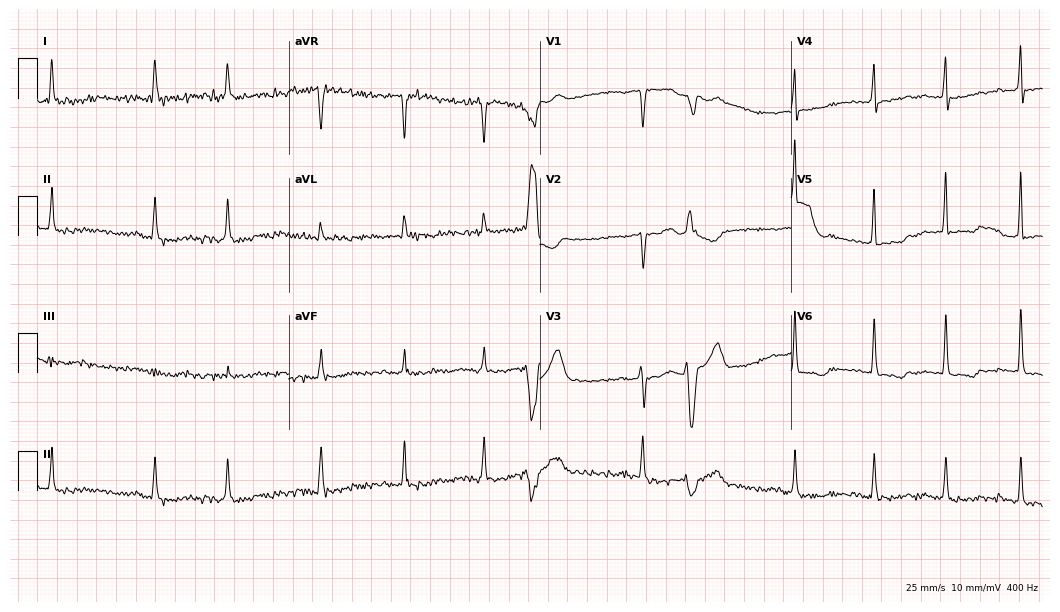
Resting 12-lead electrocardiogram (10.2-second recording at 400 Hz). Patient: a female, 74 years old. None of these six findings is recorded: first-degree AV block, right bundle branch block, left bundle branch block, sinus bradycardia, atrial fibrillation, sinus tachycardia. Other findings, if any, are not listed.